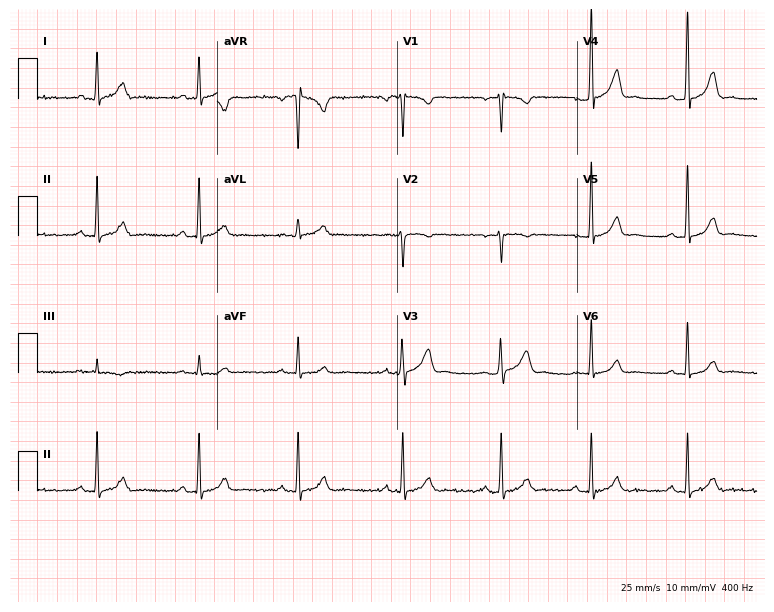
Electrocardiogram, a 34-year-old woman. Overall reading on record: normal ECG.